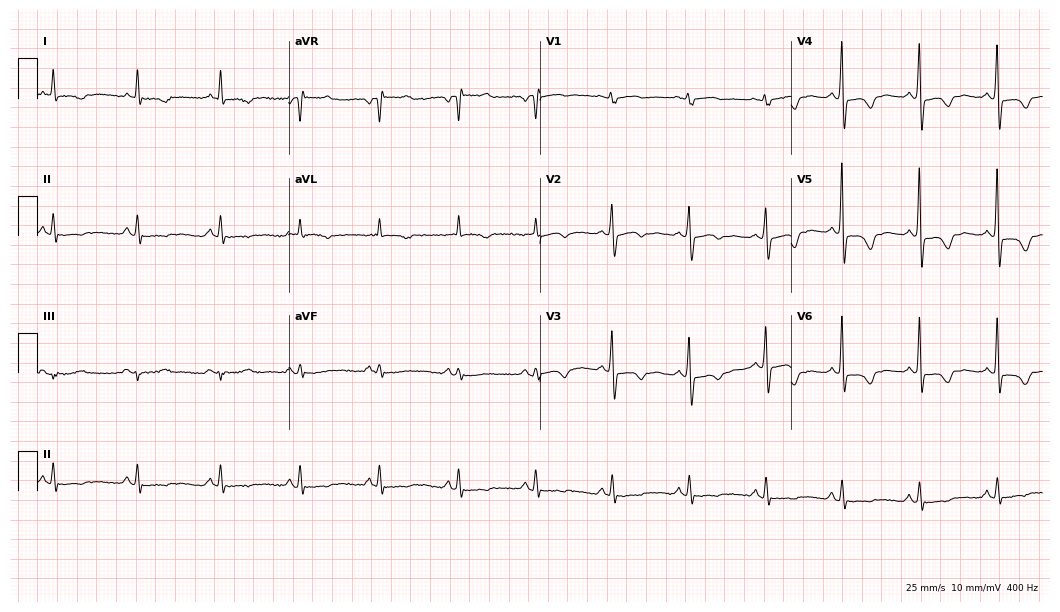
ECG (10.2-second recording at 400 Hz) — a woman, 77 years old. Screened for six findings — first-degree AV block, right bundle branch block (RBBB), left bundle branch block (LBBB), sinus bradycardia, atrial fibrillation (AF), sinus tachycardia — none is recorded.